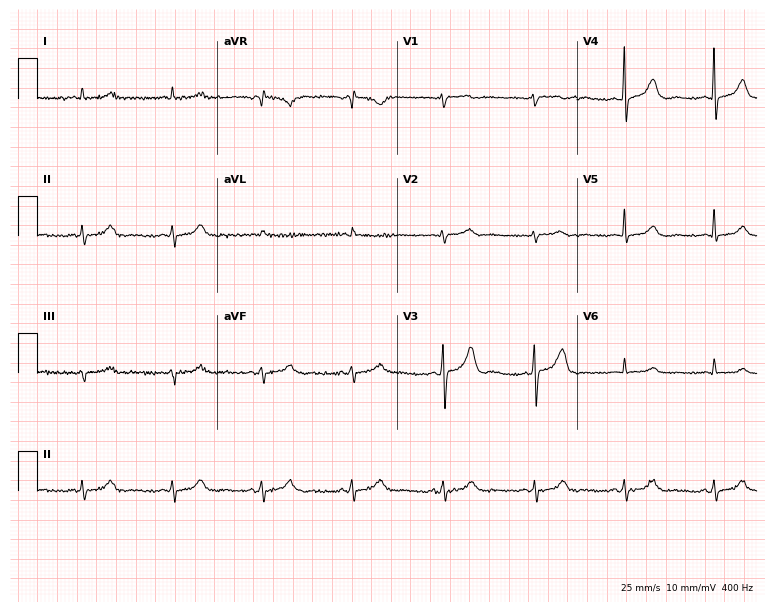
Electrocardiogram, a 78-year-old man. Of the six screened findings (first-degree AV block, right bundle branch block, left bundle branch block, sinus bradycardia, atrial fibrillation, sinus tachycardia), none is recorded.